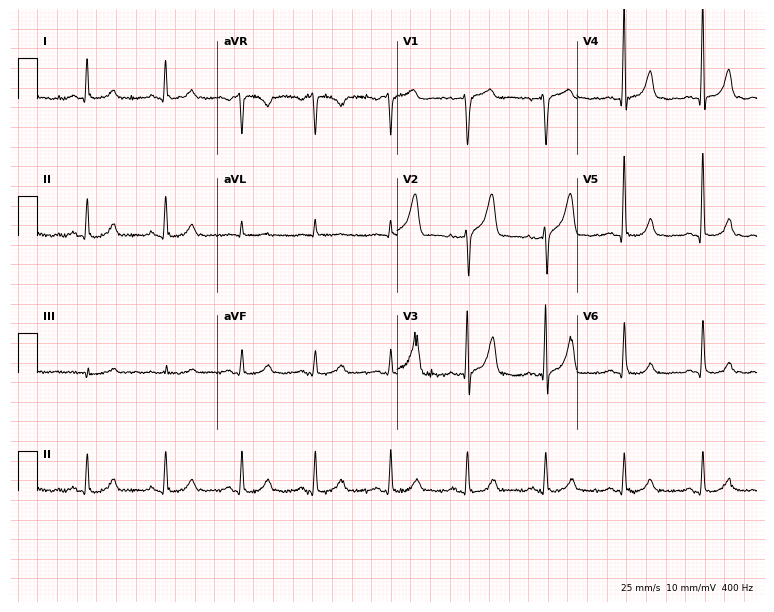
ECG — a female patient, 42 years old. Labelled as a normal ECG.